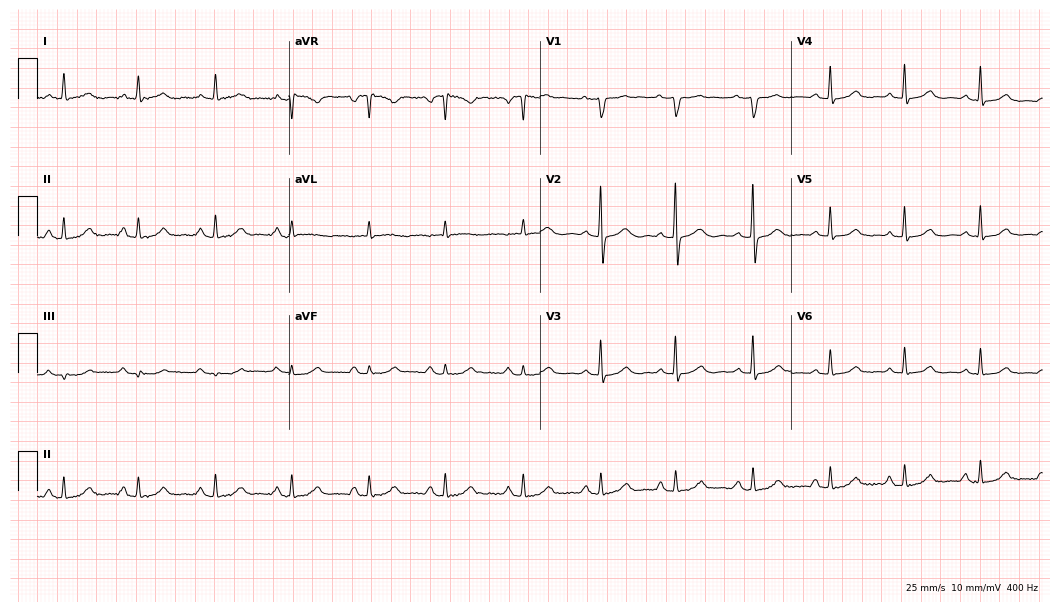
ECG (10.2-second recording at 400 Hz) — a male, 68 years old. Screened for six findings — first-degree AV block, right bundle branch block, left bundle branch block, sinus bradycardia, atrial fibrillation, sinus tachycardia — none is recorded. Findings outside these six are not listed.